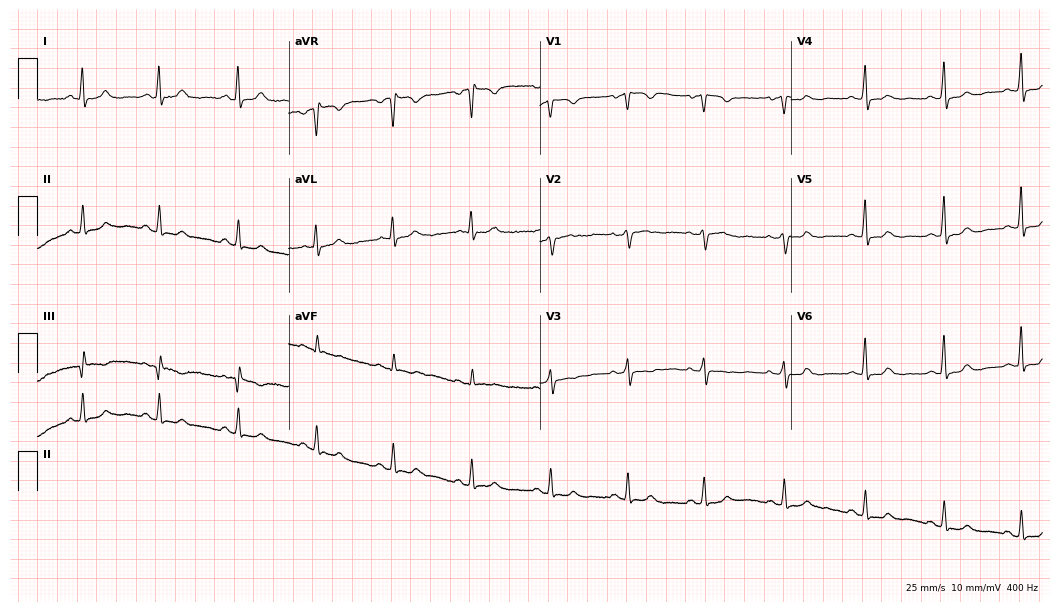
ECG (10.2-second recording at 400 Hz) — a 53-year-old female. Screened for six findings — first-degree AV block, right bundle branch block, left bundle branch block, sinus bradycardia, atrial fibrillation, sinus tachycardia — none is recorded.